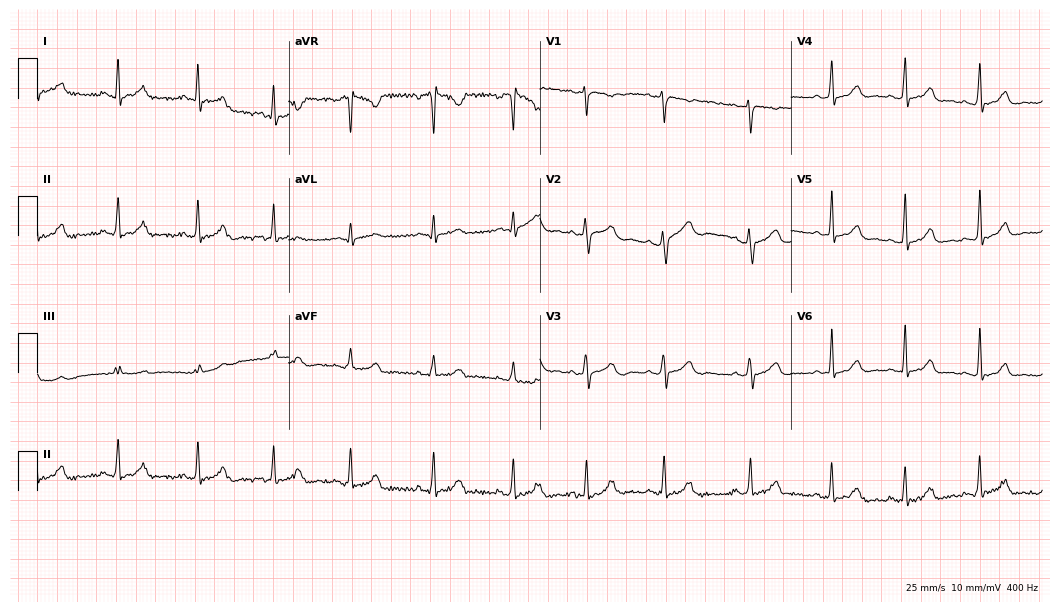
12-lead ECG from a 22-year-old woman. Labelled as a normal ECG.